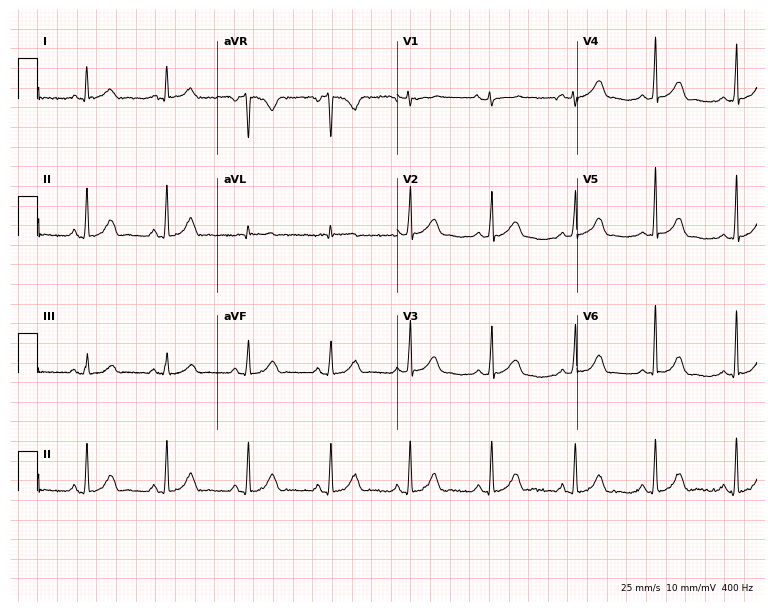
Standard 12-lead ECG recorded from a female patient, 32 years old. Read as a normal ECG.